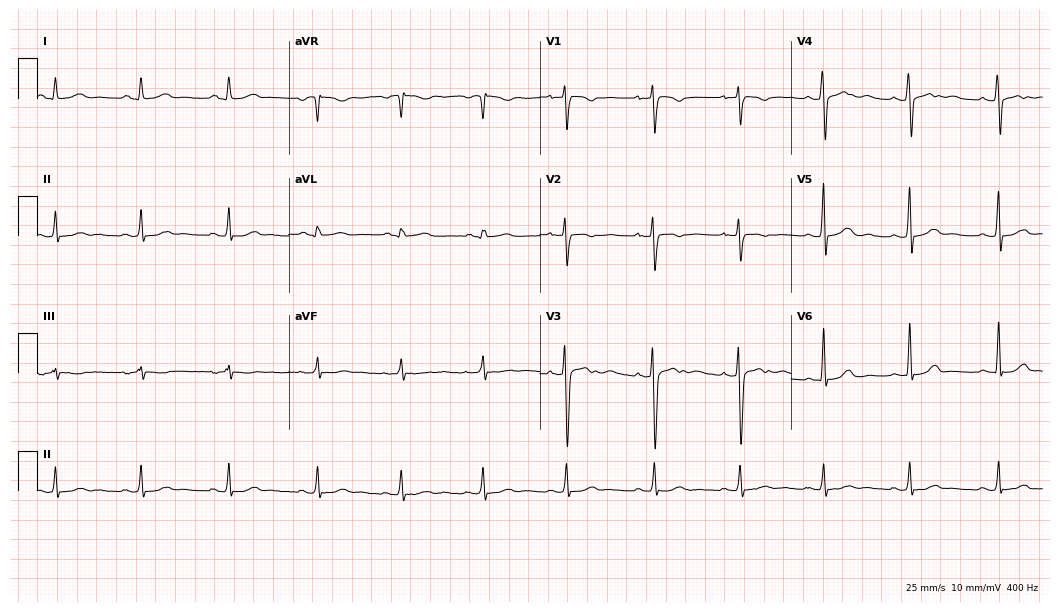
ECG — a female patient, 27 years old. Labelled as a normal ECG.